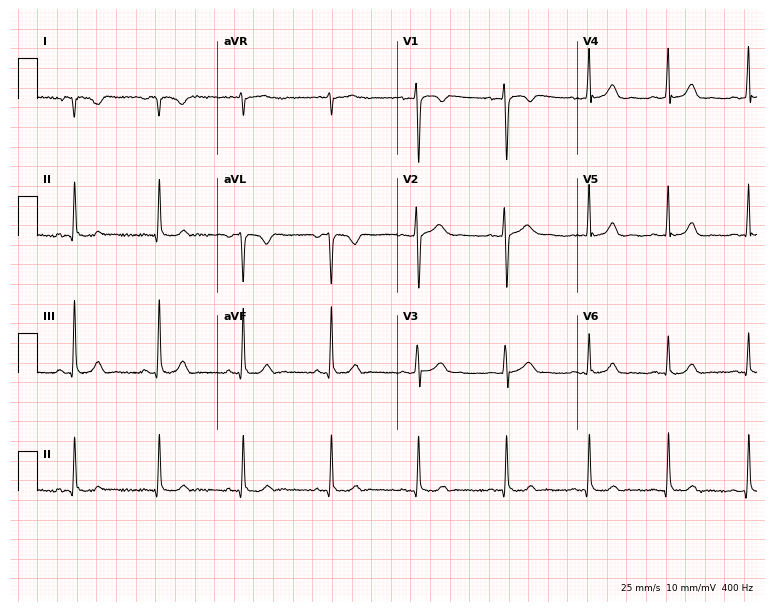
12-lead ECG from a woman, 20 years old (7.3-second recording at 400 Hz). No first-degree AV block, right bundle branch block (RBBB), left bundle branch block (LBBB), sinus bradycardia, atrial fibrillation (AF) or sinus tachycardia recorded for this tracing.